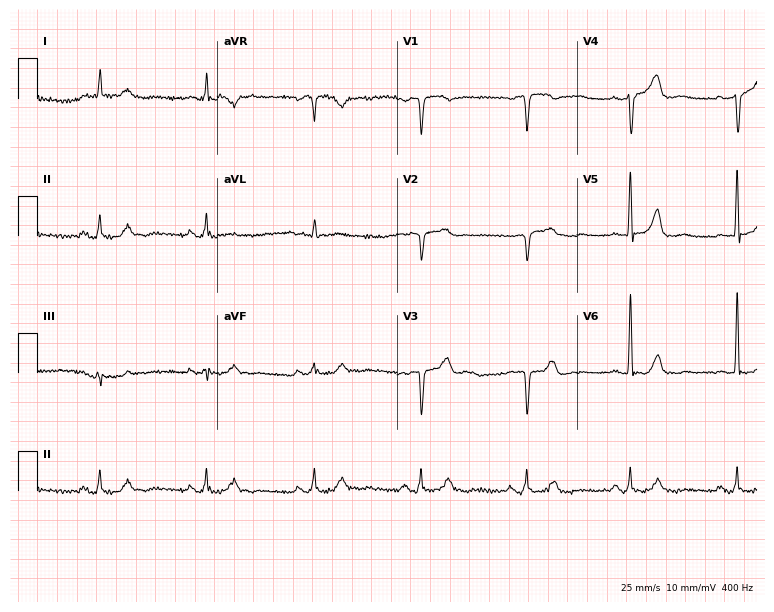
Resting 12-lead electrocardiogram (7.3-second recording at 400 Hz). Patient: a male, 85 years old. None of these six findings is recorded: first-degree AV block, right bundle branch block, left bundle branch block, sinus bradycardia, atrial fibrillation, sinus tachycardia.